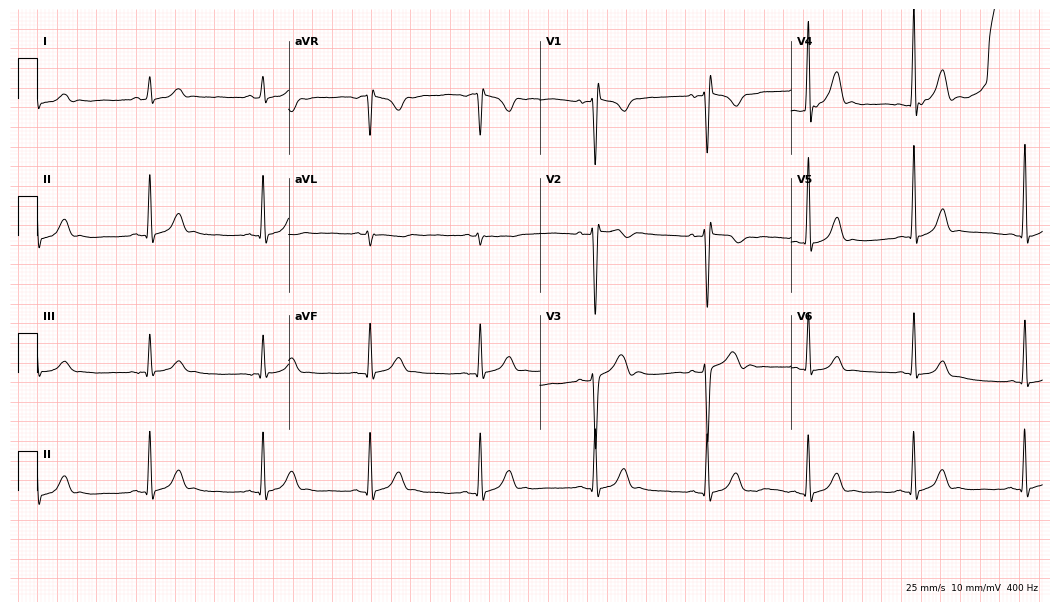
12-lead ECG (10.2-second recording at 400 Hz) from a 17-year-old male. Screened for six findings — first-degree AV block, right bundle branch block, left bundle branch block, sinus bradycardia, atrial fibrillation, sinus tachycardia — none is recorded.